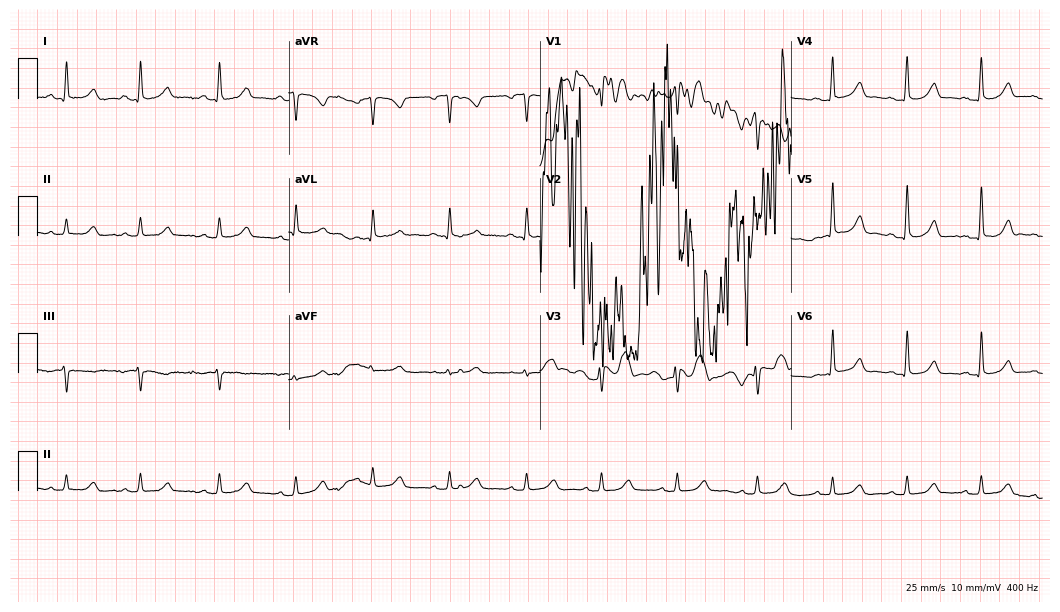
12-lead ECG (10.2-second recording at 400 Hz) from a woman, 44 years old. Screened for six findings — first-degree AV block, right bundle branch block, left bundle branch block, sinus bradycardia, atrial fibrillation, sinus tachycardia — none is recorded. Other findings, if any, are not listed.